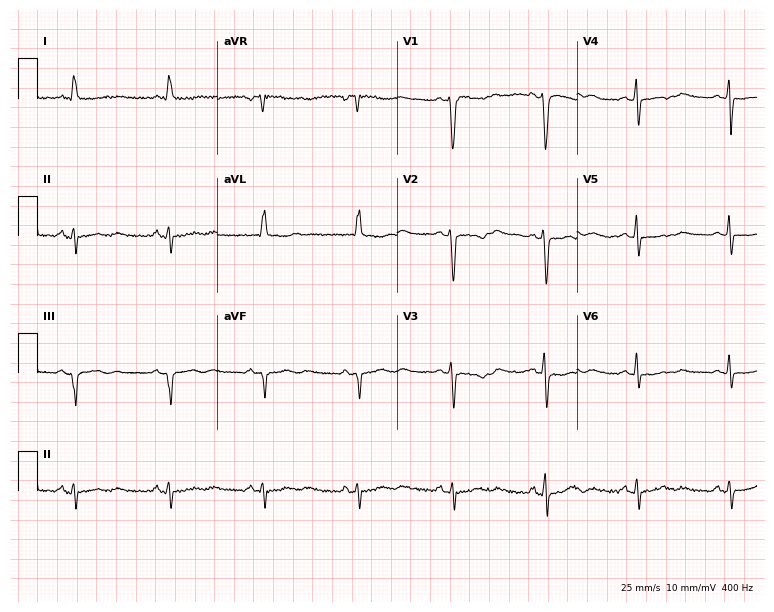
Standard 12-lead ECG recorded from a 52-year-old female patient (7.3-second recording at 400 Hz). None of these six findings is recorded: first-degree AV block, right bundle branch block (RBBB), left bundle branch block (LBBB), sinus bradycardia, atrial fibrillation (AF), sinus tachycardia. Findings outside these six are not listed.